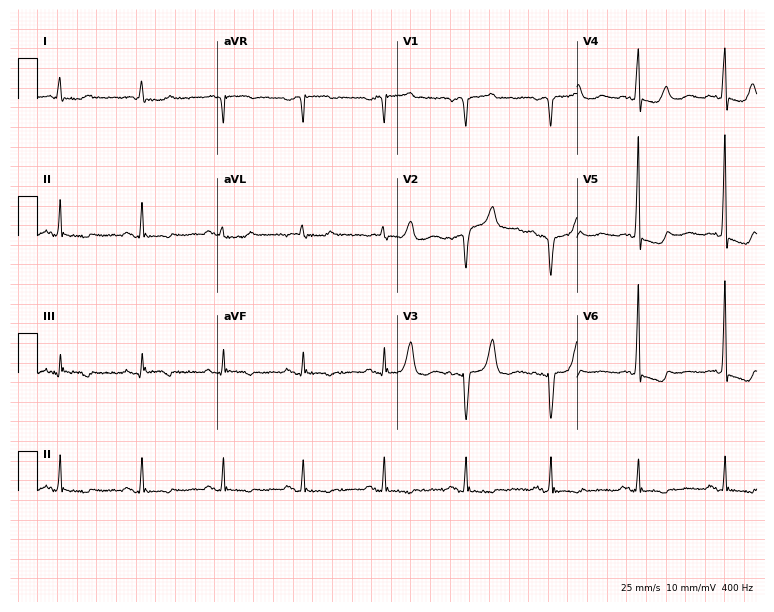
Standard 12-lead ECG recorded from a female, 83 years old. None of these six findings is recorded: first-degree AV block, right bundle branch block, left bundle branch block, sinus bradycardia, atrial fibrillation, sinus tachycardia.